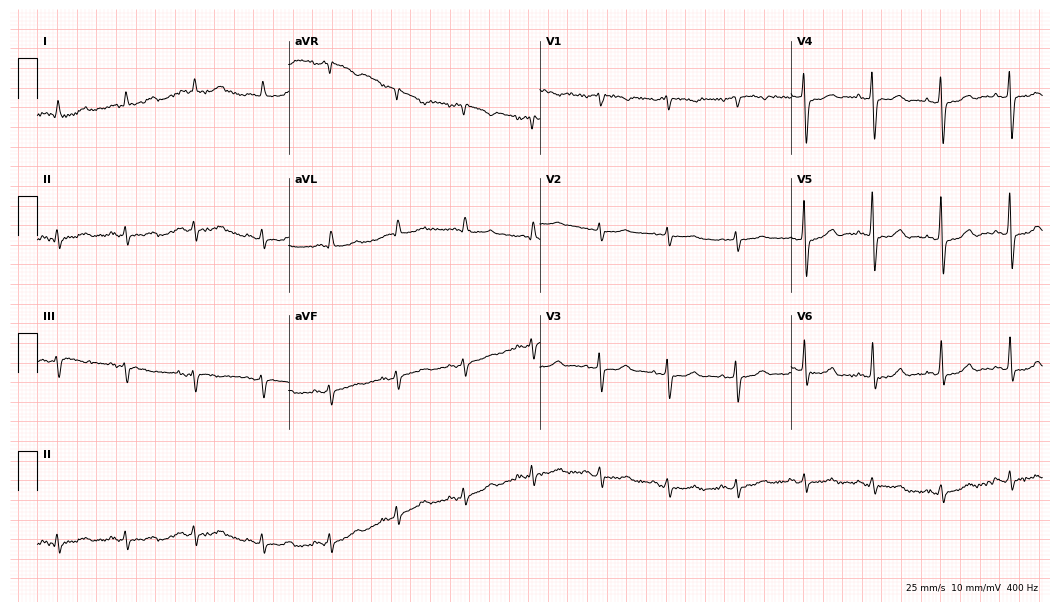
Resting 12-lead electrocardiogram. Patient: an 80-year-old female. None of these six findings is recorded: first-degree AV block, right bundle branch block, left bundle branch block, sinus bradycardia, atrial fibrillation, sinus tachycardia.